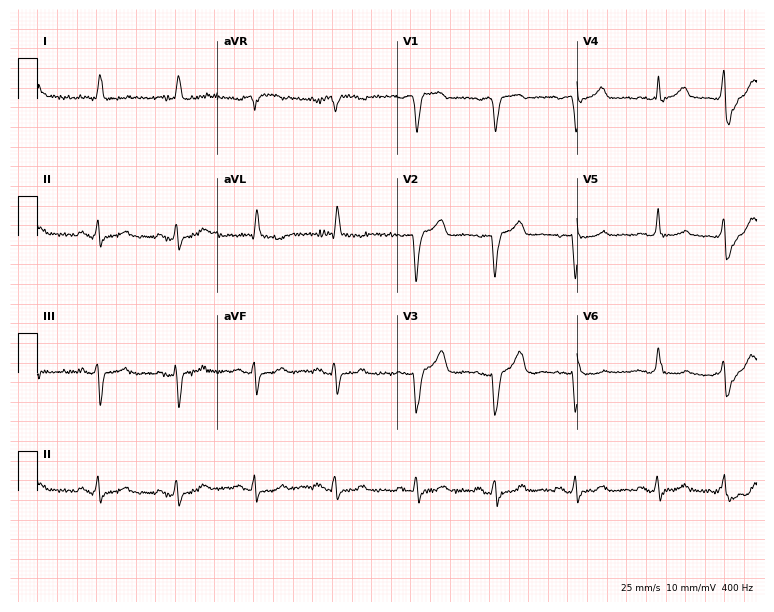
Electrocardiogram (7.3-second recording at 400 Hz), a 75-year-old woman. Of the six screened findings (first-degree AV block, right bundle branch block, left bundle branch block, sinus bradycardia, atrial fibrillation, sinus tachycardia), none is recorded. Only these six findings were labelled.